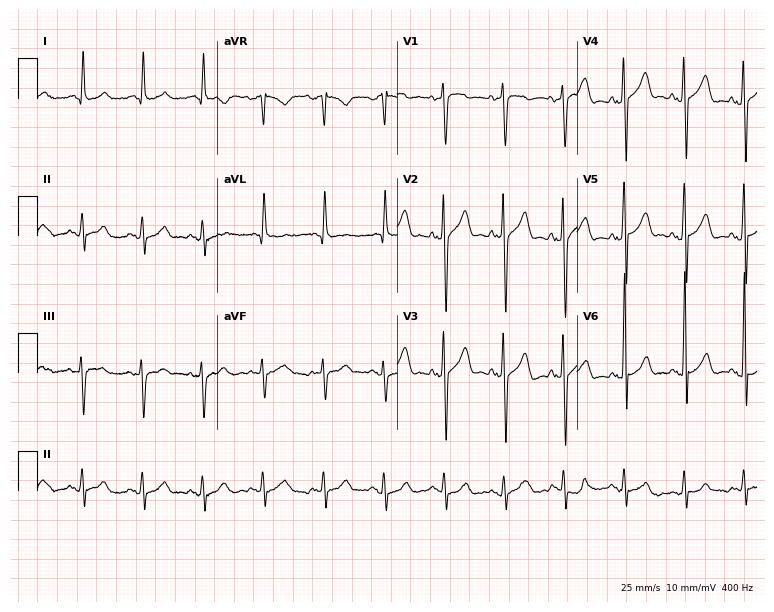
Standard 12-lead ECG recorded from a male, 76 years old (7.3-second recording at 400 Hz). Read as a normal ECG.